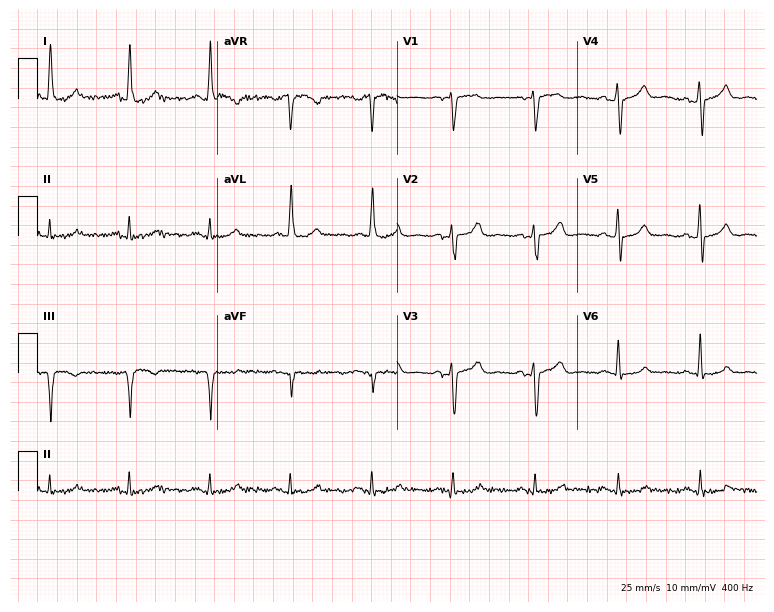
Electrocardiogram, a female, 54 years old. Of the six screened findings (first-degree AV block, right bundle branch block, left bundle branch block, sinus bradycardia, atrial fibrillation, sinus tachycardia), none is recorded.